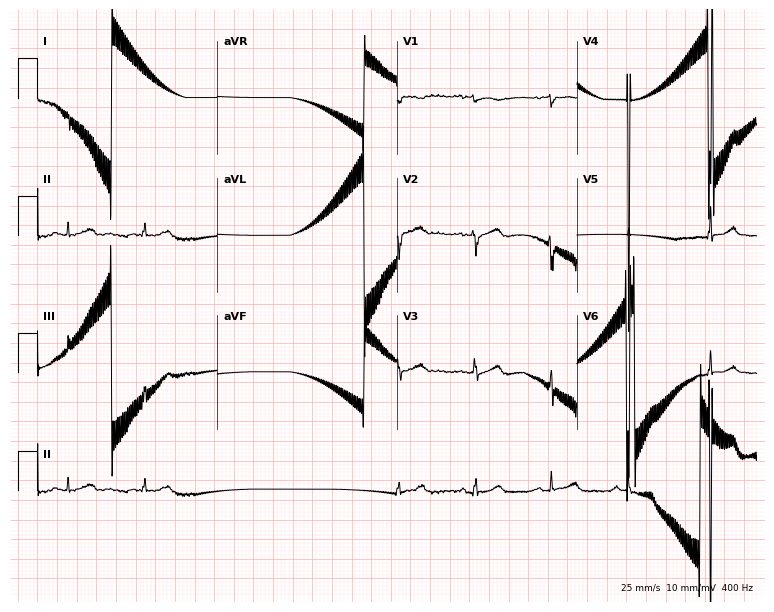
ECG (7.3-second recording at 400 Hz) — a 19-year-old man. Screened for six findings — first-degree AV block, right bundle branch block (RBBB), left bundle branch block (LBBB), sinus bradycardia, atrial fibrillation (AF), sinus tachycardia — none is recorded.